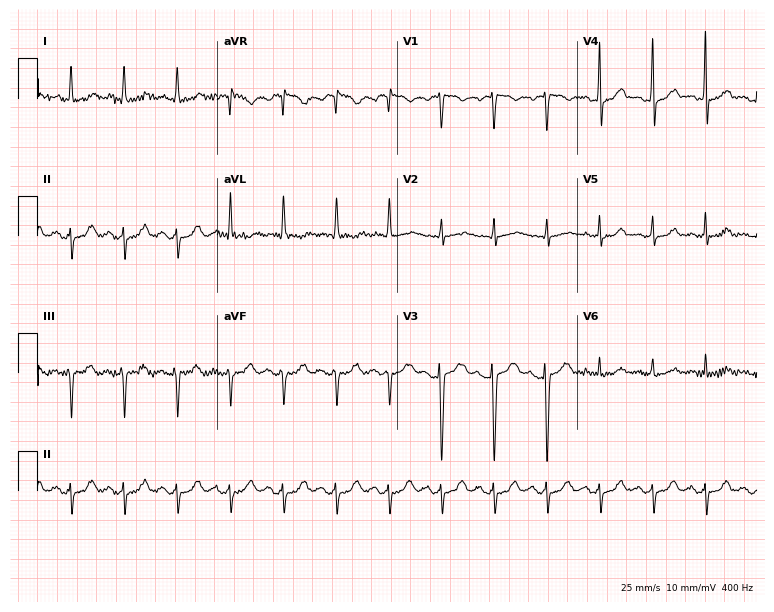
Standard 12-lead ECG recorded from a 51-year-old female patient (7.3-second recording at 400 Hz). The tracing shows sinus tachycardia (a sinus rate of 100 beats per minute or more).